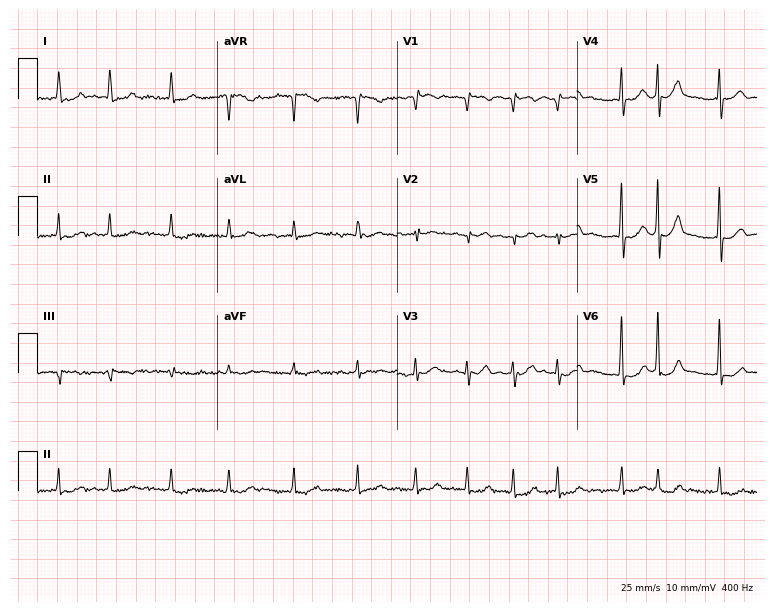
ECG (7.3-second recording at 400 Hz) — a female, 83 years old. Findings include atrial fibrillation.